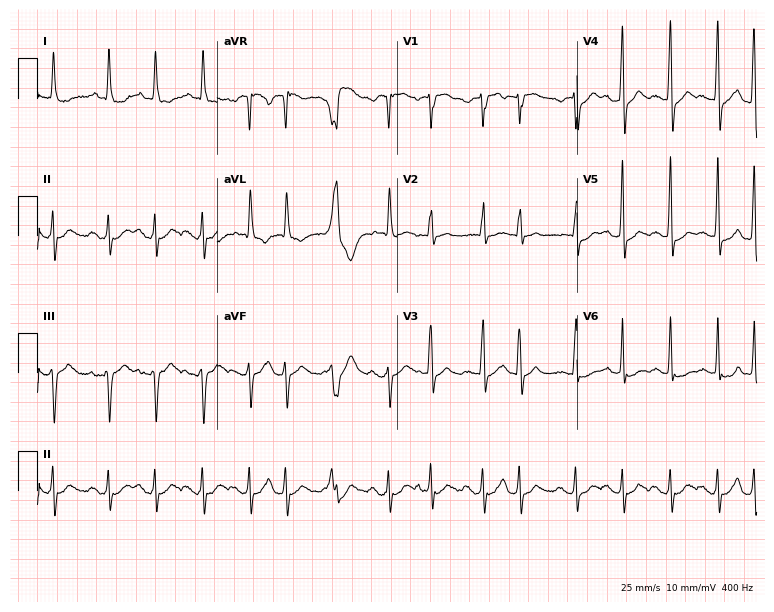
Standard 12-lead ECG recorded from a man, 80 years old (7.3-second recording at 400 Hz). The tracing shows sinus tachycardia (a sinus rate of 100 beats per minute or more).